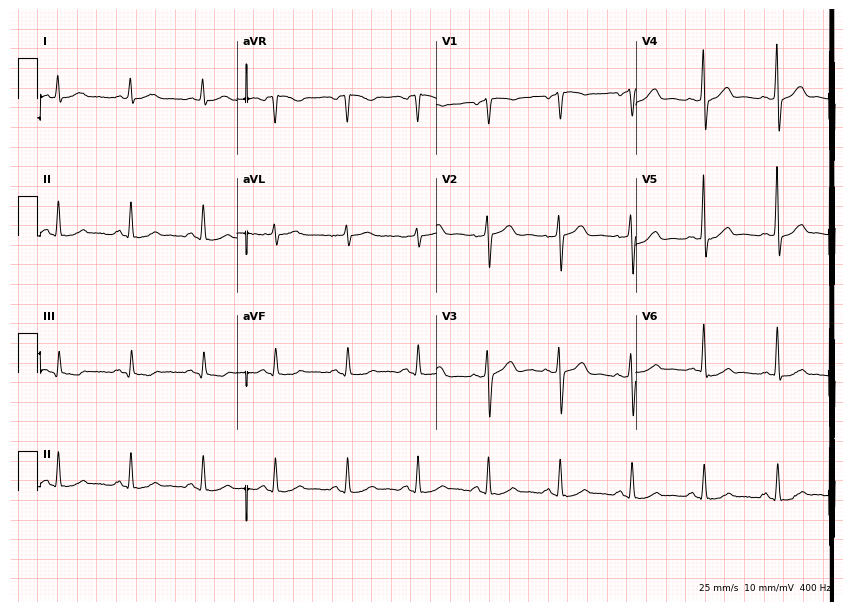
Electrocardiogram, a 65-year-old male. Overall reading on record: normal ECG.